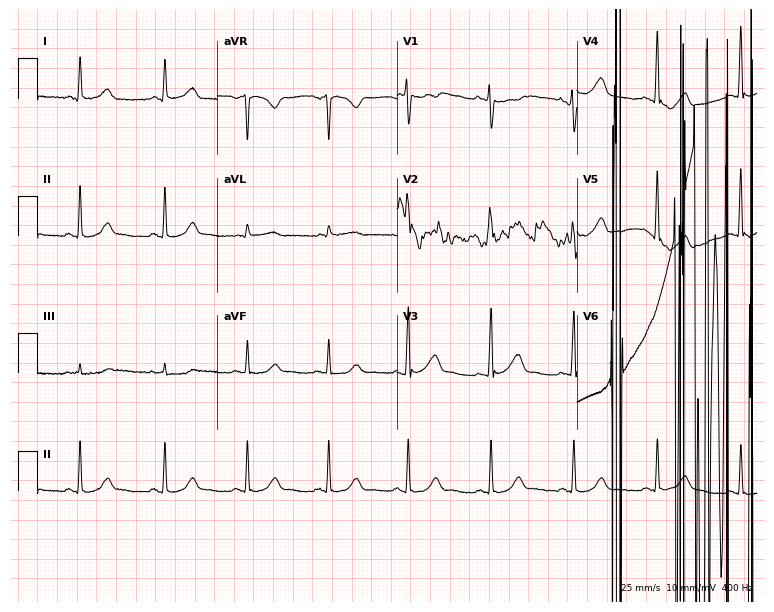
ECG — a female patient, 41 years old. Screened for six findings — first-degree AV block, right bundle branch block, left bundle branch block, sinus bradycardia, atrial fibrillation, sinus tachycardia — none is recorded.